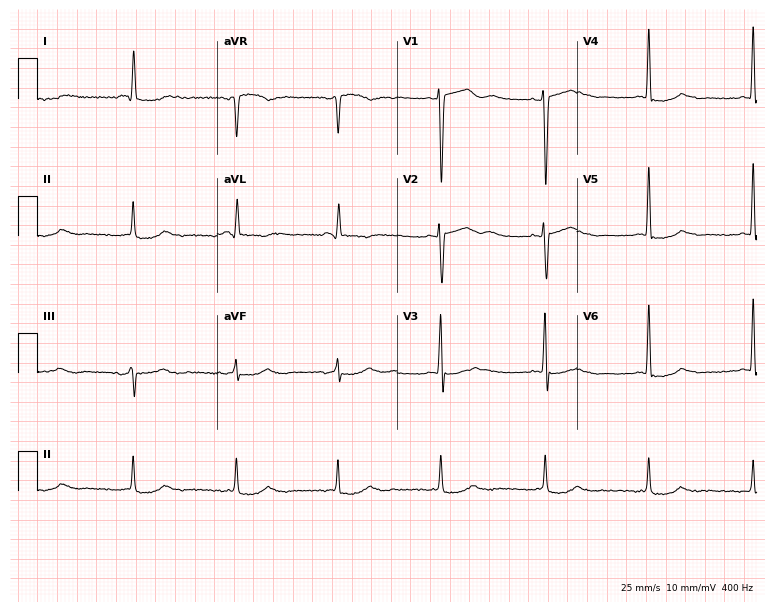
Electrocardiogram (7.3-second recording at 400 Hz), a 57-year-old male. Of the six screened findings (first-degree AV block, right bundle branch block, left bundle branch block, sinus bradycardia, atrial fibrillation, sinus tachycardia), none is recorded.